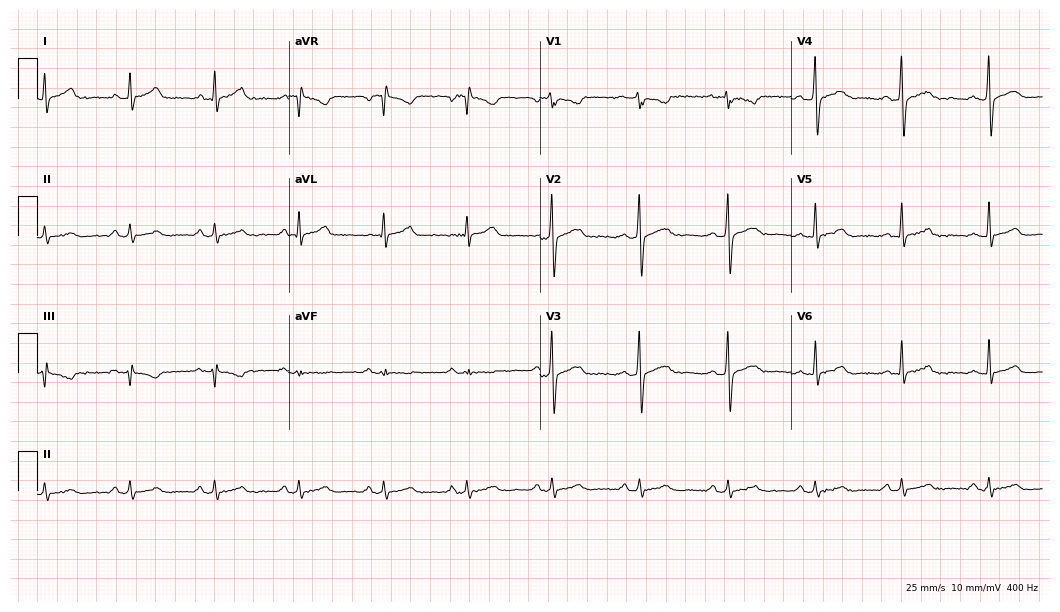
ECG (10.2-second recording at 400 Hz) — a male, 34 years old. Labelled as a normal ECG.